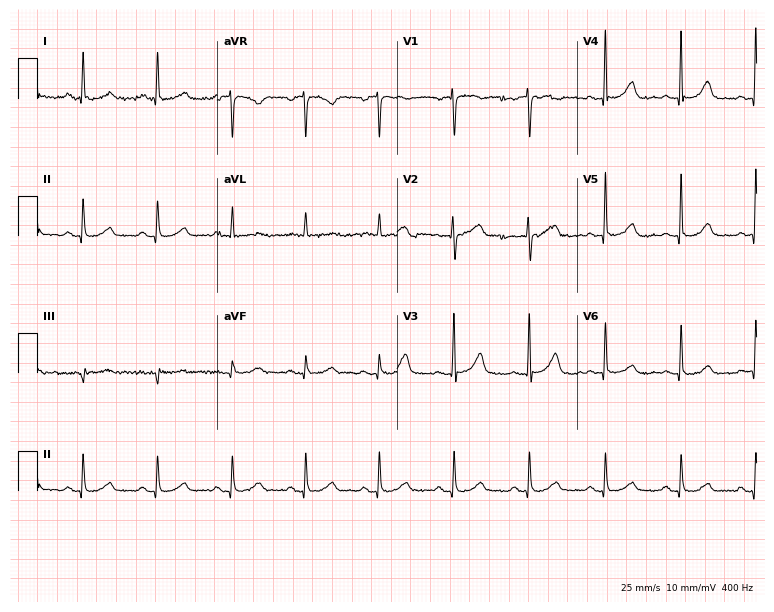
Standard 12-lead ECG recorded from a 74-year-old female (7.3-second recording at 400 Hz). Read as a normal ECG.